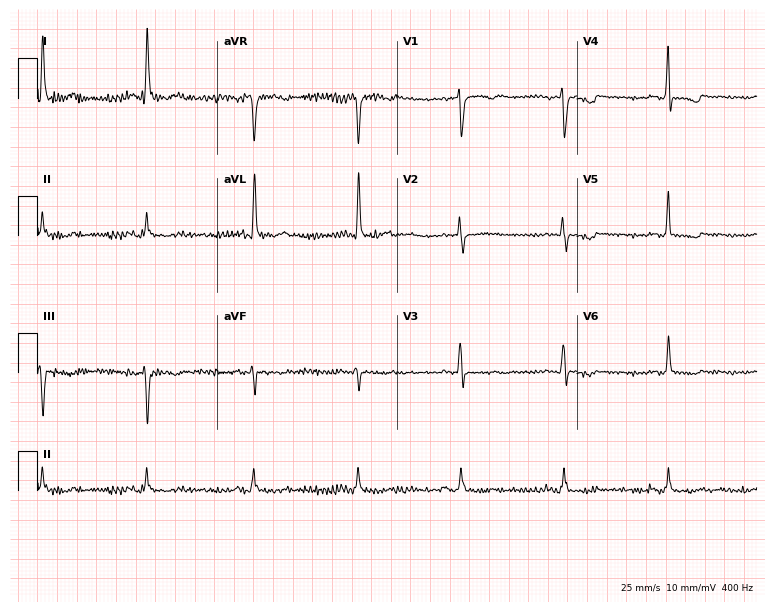
12-lead ECG from a female, 69 years old (7.3-second recording at 400 Hz). No first-degree AV block, right bundle branch block (RBBB), left bundle branch block (LBBB), sinus bradycardia, atrial fibrillation (AF) or sinus tachycardia recorded for this tracing.